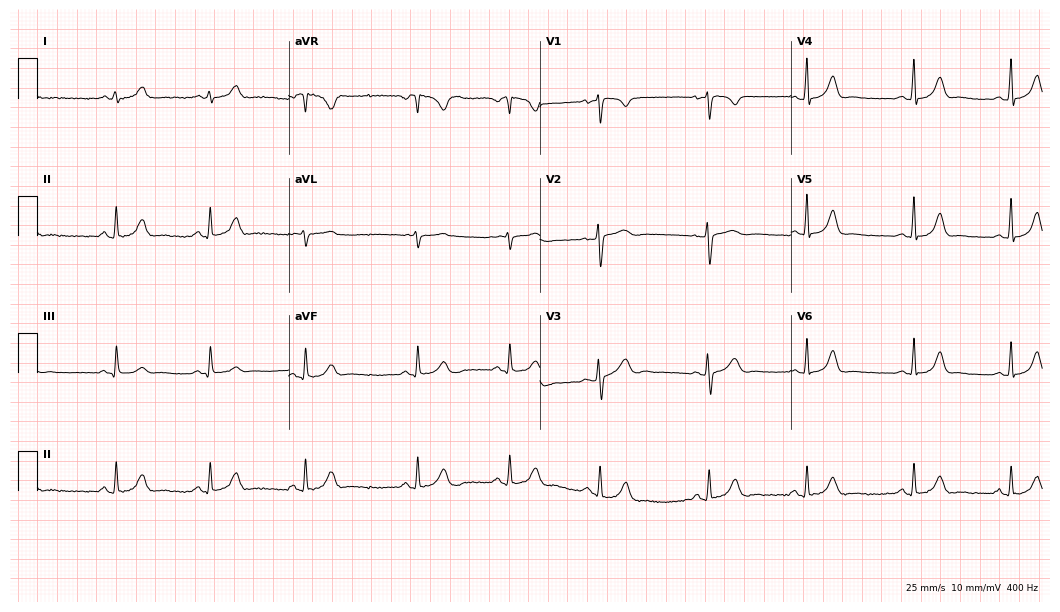
Electrocardiogram (10.2-second recording at 400 Hz), a woman, 25 years old. Overall reading on record: normal ECG.